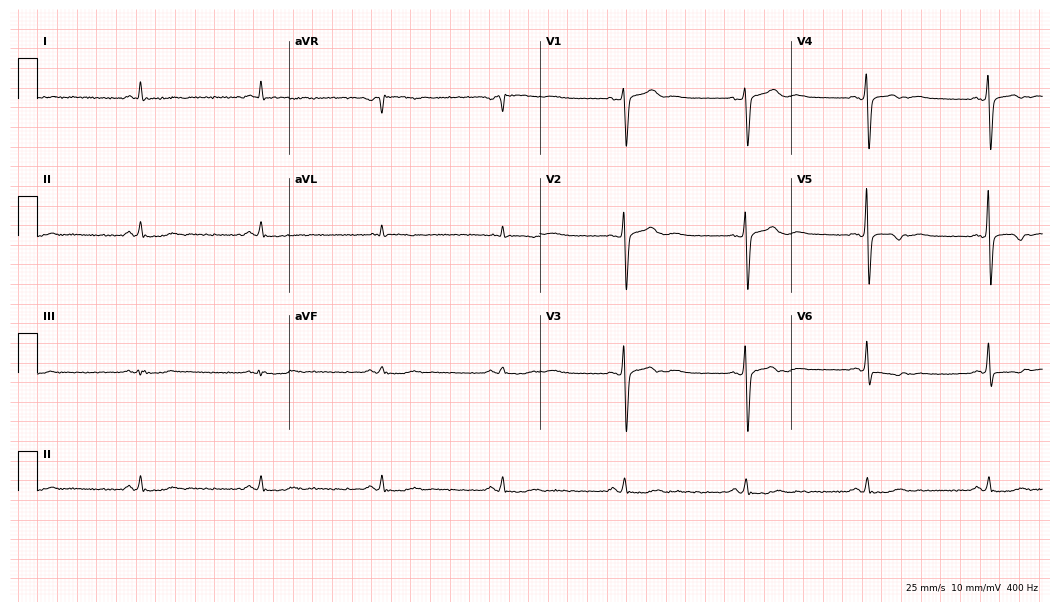
ECG — a male patient, 70 years old. Findings include sinus bradycardia (a sinus rate of 50 beats per minute or less).